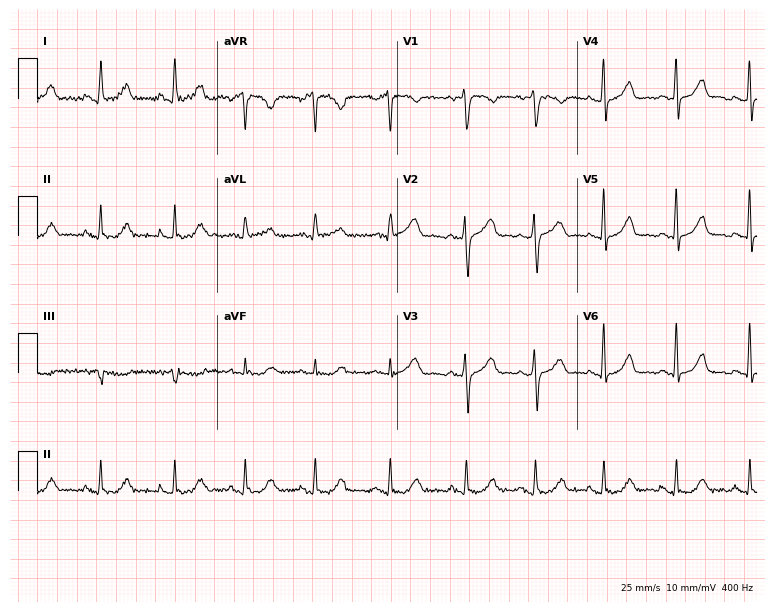
Standard 12-lead ECG recorded from a female patient, 34 years old (7.3-second recording at 400 Hz). Read as a normal ECG.